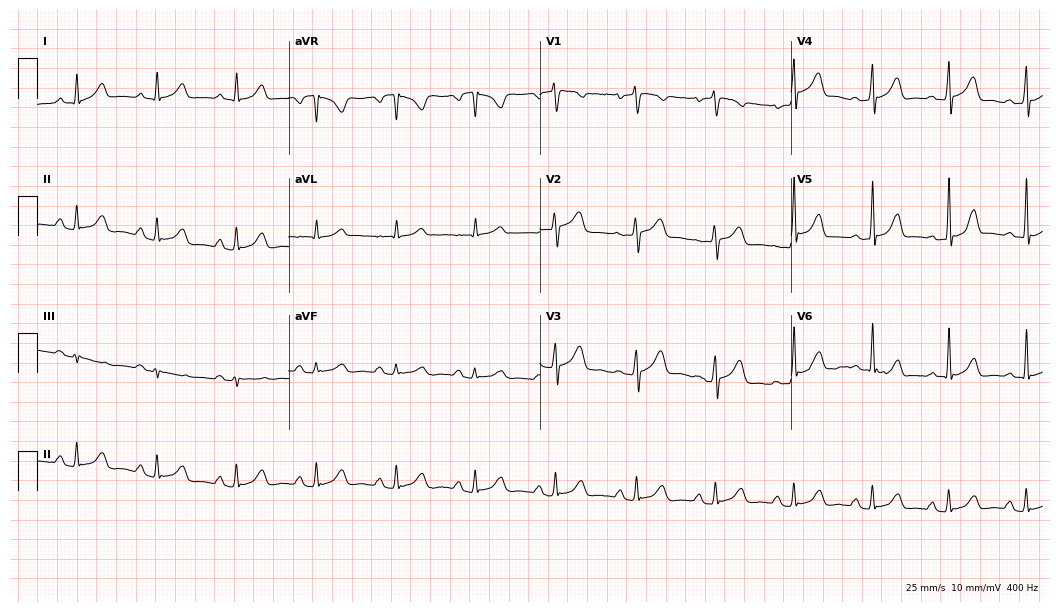
Standard 12-lead ECG recorded from a woman, 41 years old (10.2-second recording at 400 Hz). Read as a normal ECG.